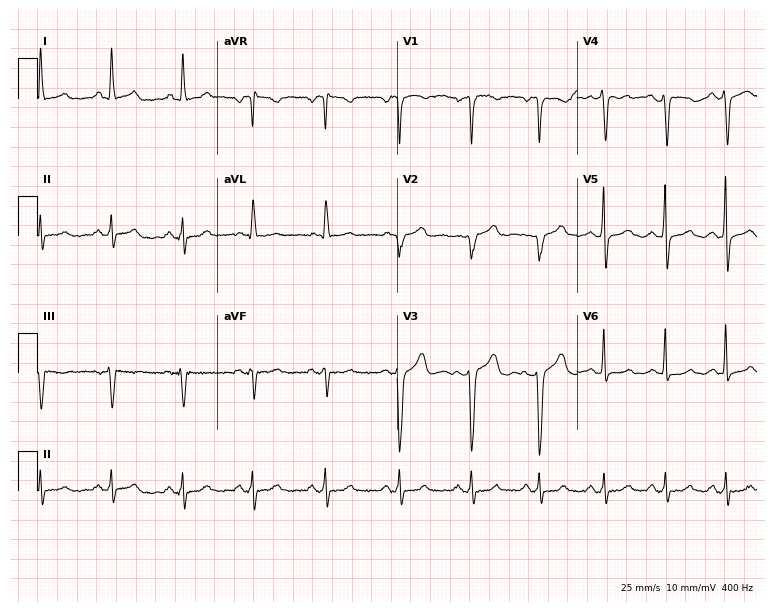
Standard 12-lead ECG recorded from a female patient, 49 years old. None of these six findings is recorded: first-degree AV block, right bundle branch block (RBBB), left bundle branch block (LBBB), sinus bradycardia, atrial fibrillation (AF), sinus tachycardia.